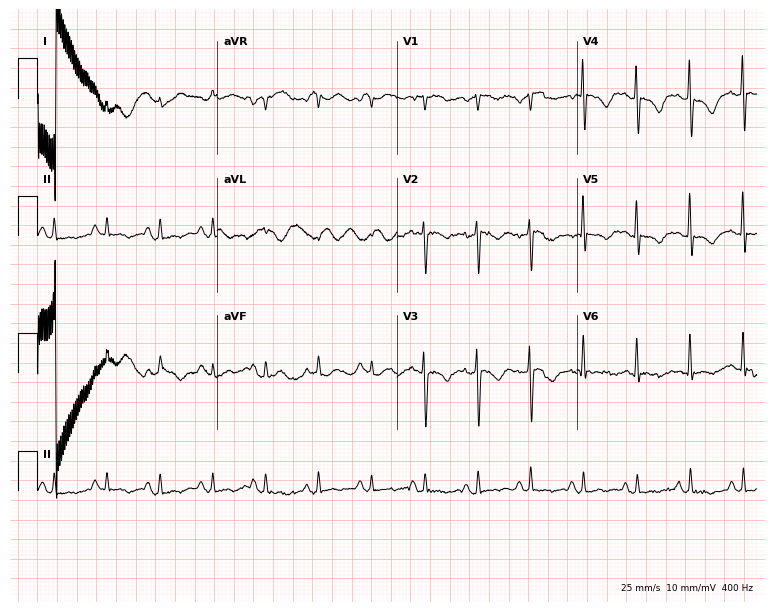
ECG (7.3-second recording at 400 Hz) — a 52-year-old female. Screened for six findings — first-degree AV block, right bundle branch block (RBBB), left bundle branch block (LBBB), sinus bradycardia, atrial fibrillation (AF), sinus tachycardia — none is recorded. Other findings, if any, are not listed.